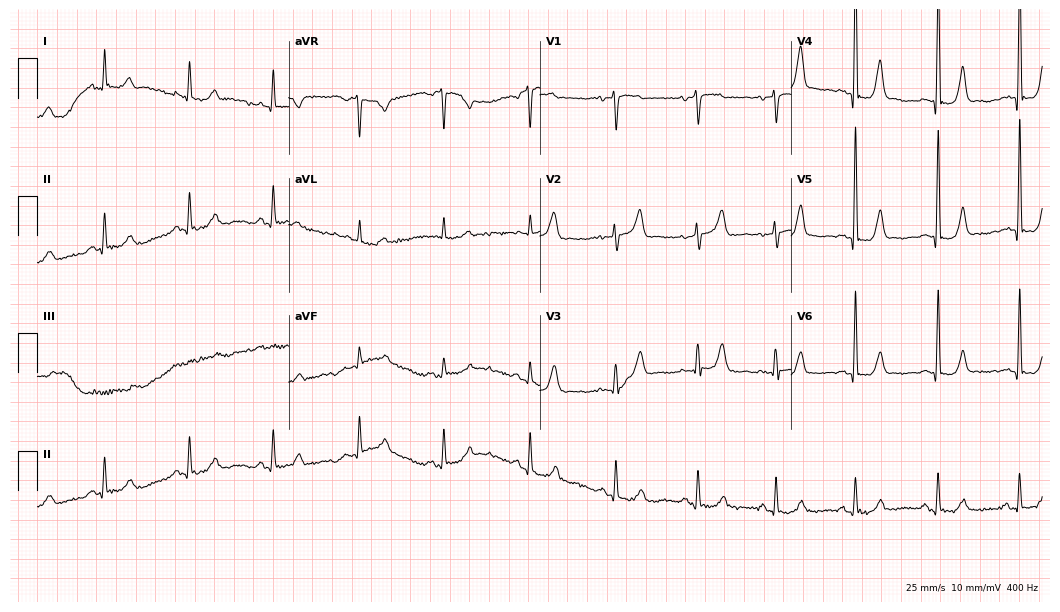
ECG (10.2-second recording at 400 Hz) — a woman, 71 years old. Screened for six findings — first-degree AV block, right bundle branch block (RBBB), left bundle branch block (LBBB), sinus bradycardia, atrial fibrillation (AF), sinus tachycardia — none is recorded. Only these six findings were labelled.